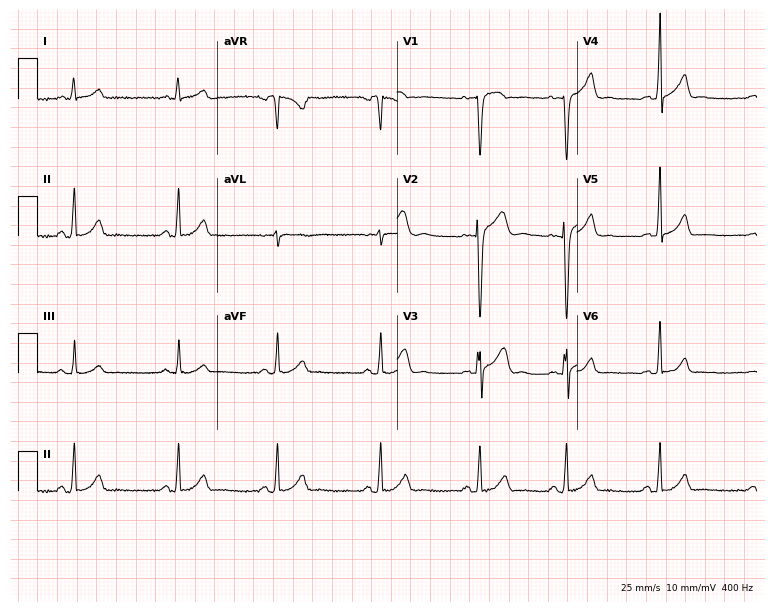
Resting 12-lead electrocardiogram (7.3-second recording at 400 Hz). Patient: an 18-year-old female. Read as a normal ECG.